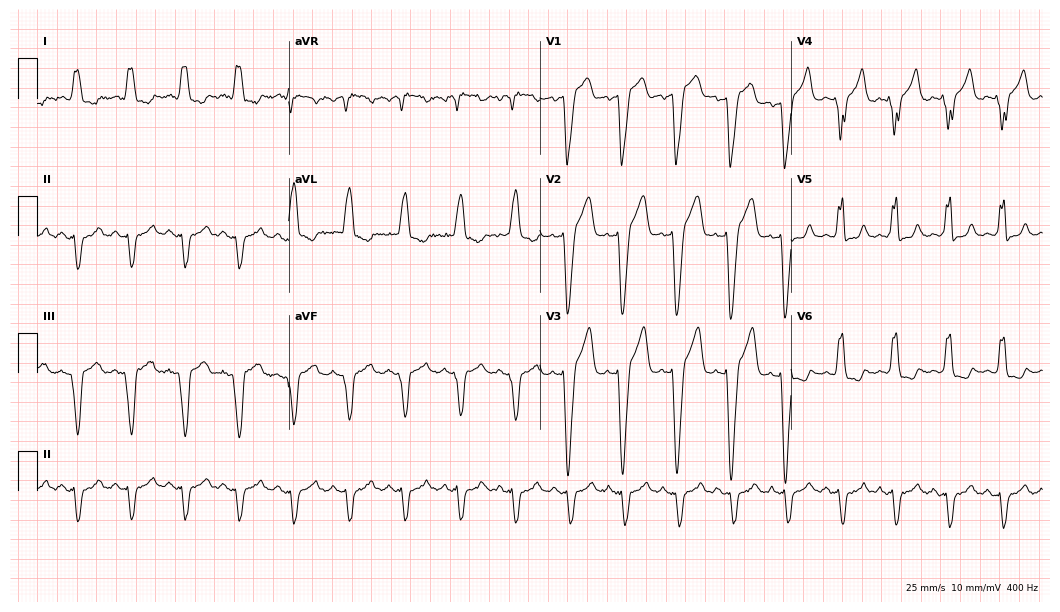
12-lead ECG from a 76-year-old male. Shows left bundle branch block, sinus tachycardia (a sinus rate of 100 beats per minute or more).